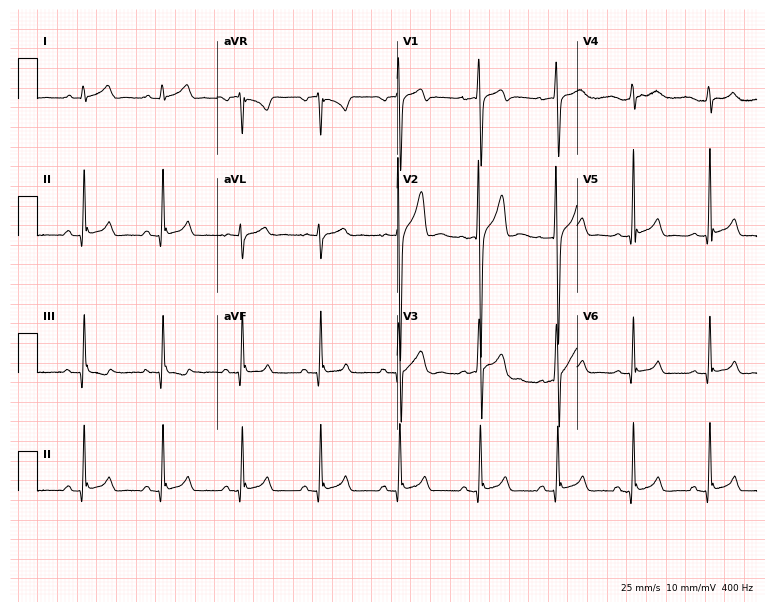
12-lead ECG from a man, 18 years old. Labelled as a normal ECG.